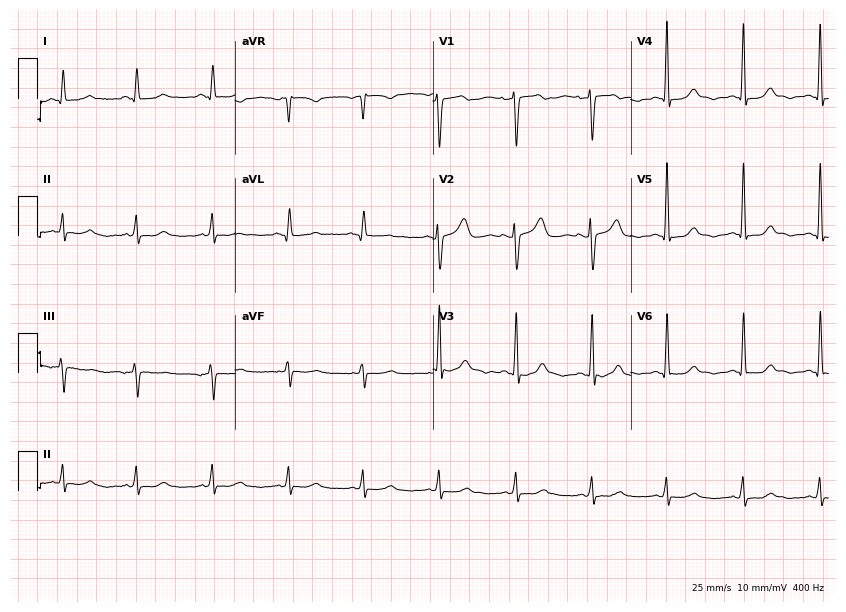
12-lead ECG (8.1-second recording at 400 Hz) from a female patient, 61 years old. Screened for six findings — first-degree AV block, right bundle branch block, left bundle branch block, sinus bradycardia, atrial fibrillation, sinus tachycardia — none is recorded.